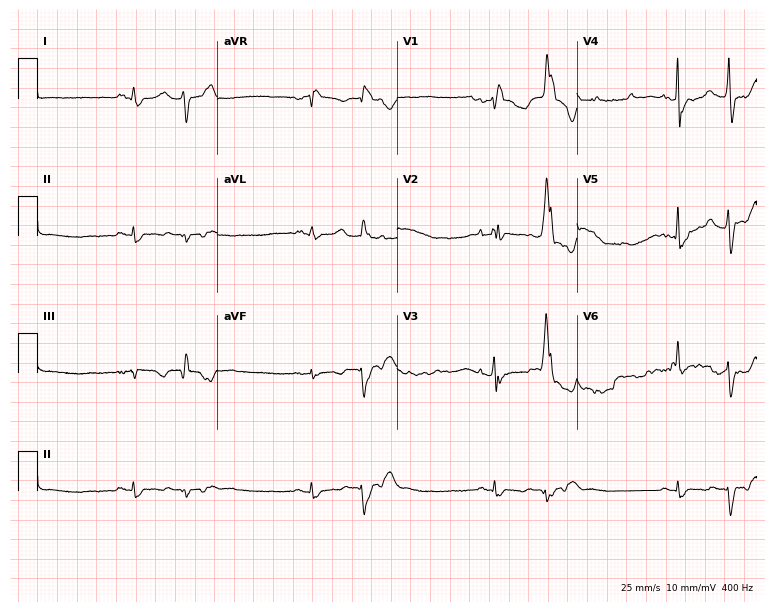
12-lead ECG from a 41-year-old female. Findings include right bundle branch block.